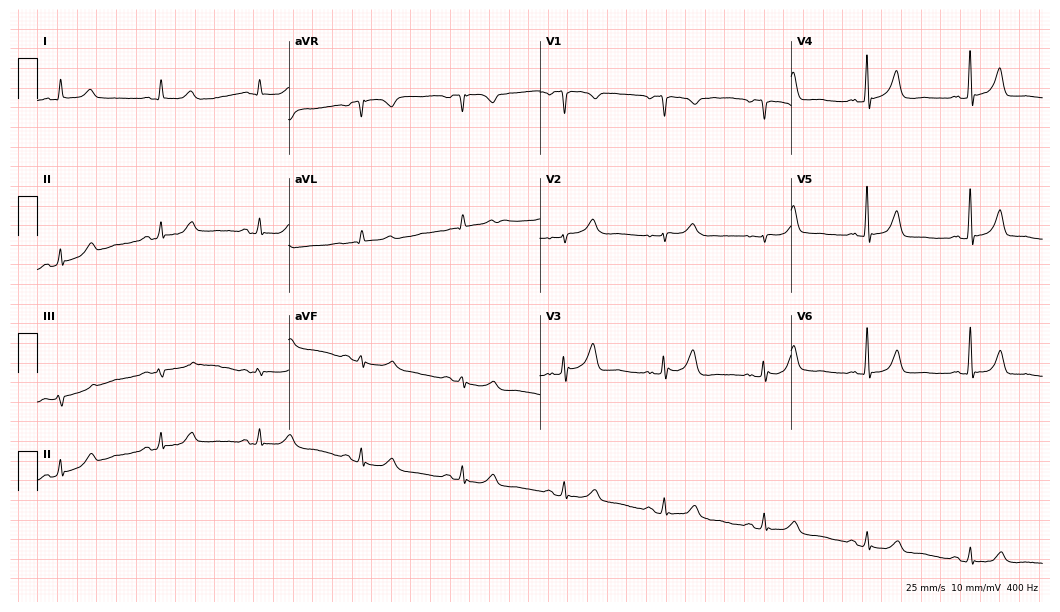
Resting 12-lead electrocardiogram (10.2-second recording at 400 Hz). Patient: a 76-year-old male. None of these six findings is recorded: first-degree AV block, right bundle branch block, left bundle branch block, sinus bradycardia, atrial fibrillation, sinus tachycardia. Only these six findings were labelled.